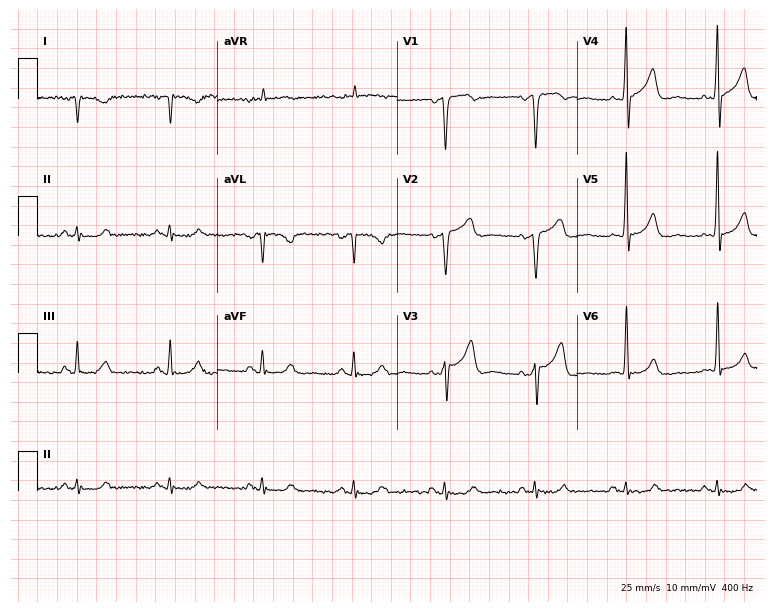
12-lead ECG (7.3-second recording at 400 Hz) from a male, 79 years old. Screened for six findings — first-degree AV block, right bundle branch block, left bundle branch block, sinus bradycardia, atrial fibrillation, sinus tachycardia — none is recorded. Other findings, if any, are not listed.